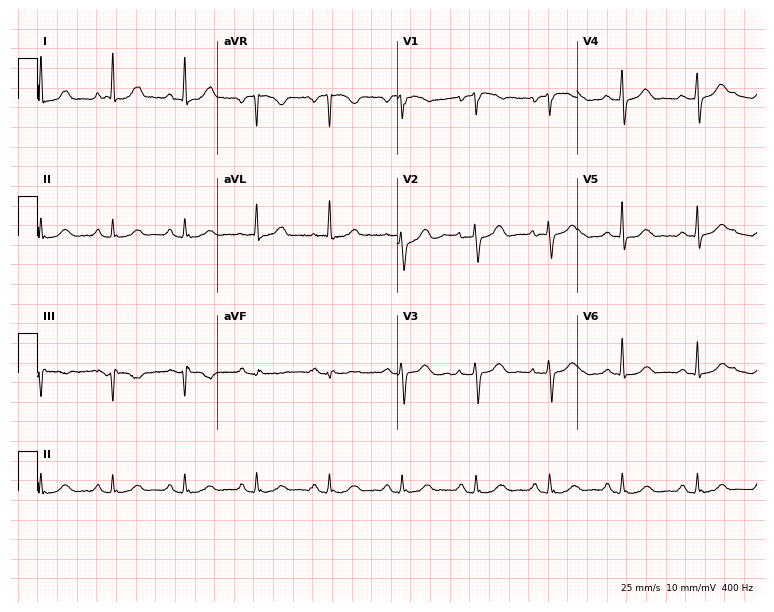
12-lead ECG from a female patient, 78 years old. Recorded interpretation: within normal limits.